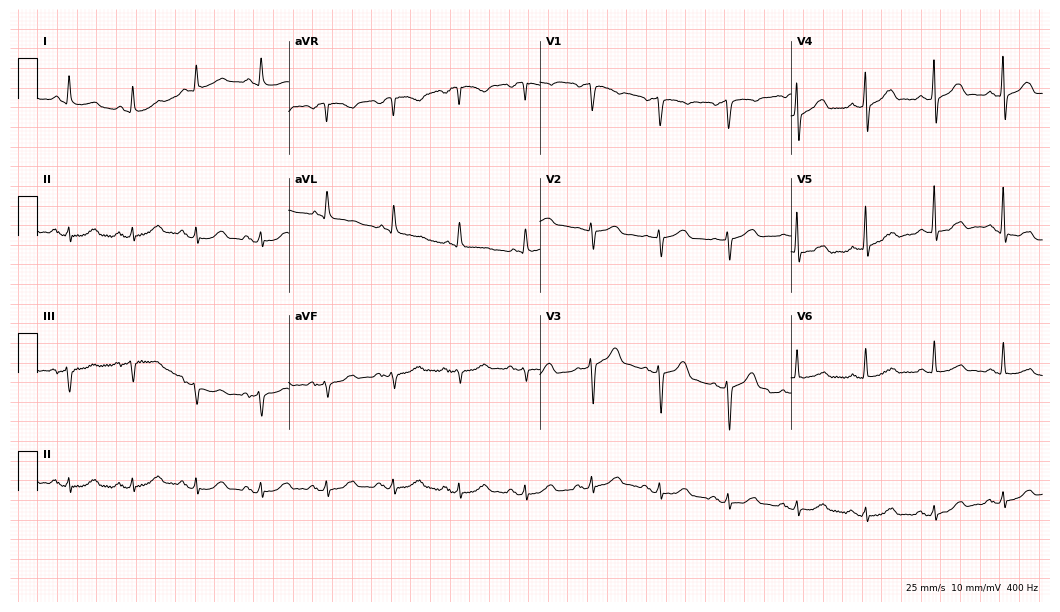
Electrocardiogram, a 66-year-old male. Overall reading on record: normal ECG.